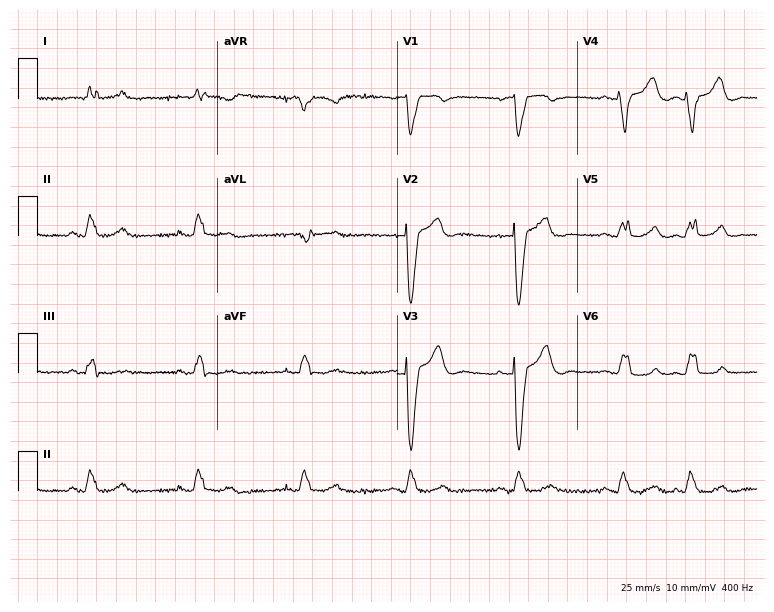
12-lead ECG from a woman, 73 years old. No first-degree AV block, right bundle branch block (RBBB), left bundle branch block (LBBB), sinus bradycardia, atrial fibrillation (AF) or sinus tachycardia recorded for this tracing.